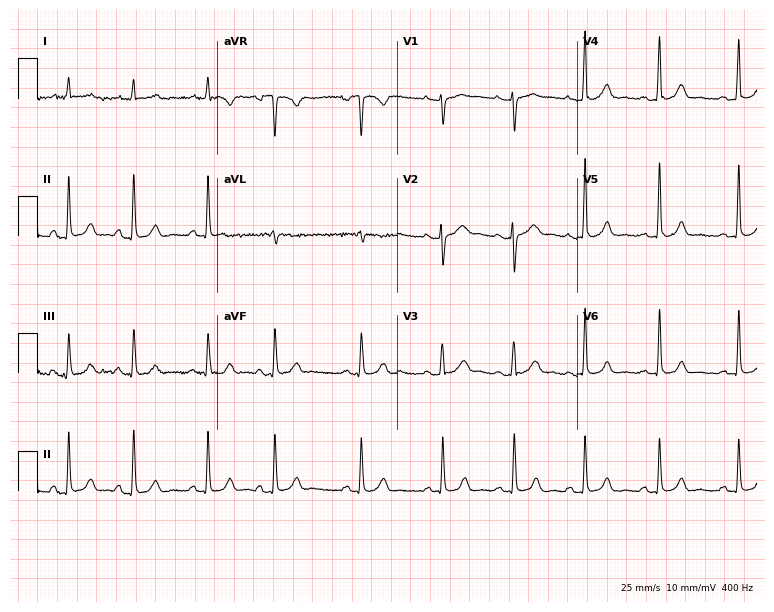
12-lead ECG (7.3-second recording at 400 Hz) from a 29-year-old female patient. Labelled as a normal ECG.